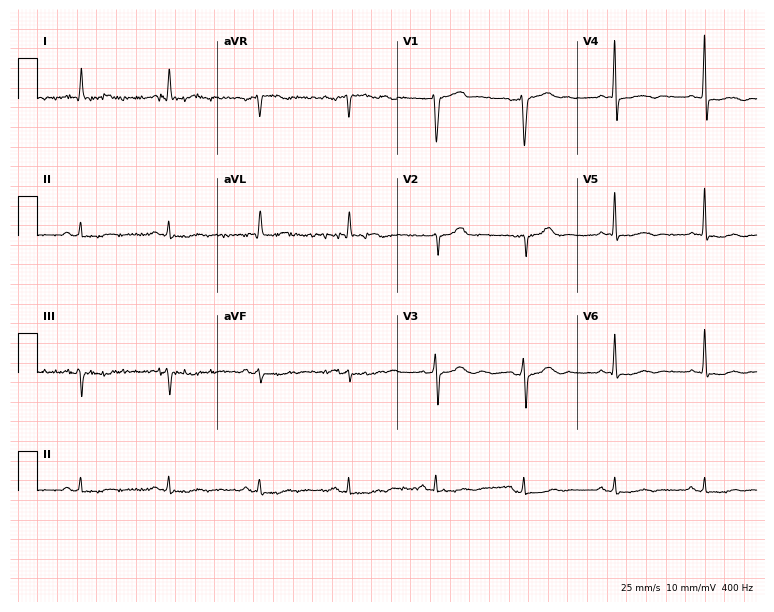
Electrocardiogram, a 74-year-old male. Of the six screened findings (first-degree AV block, right bundle branch block (RBBB), left bundle branch block (LBBB), sinus bradycardia, atrial fibrillation (AF), sinus tachycardia), none is recorded.